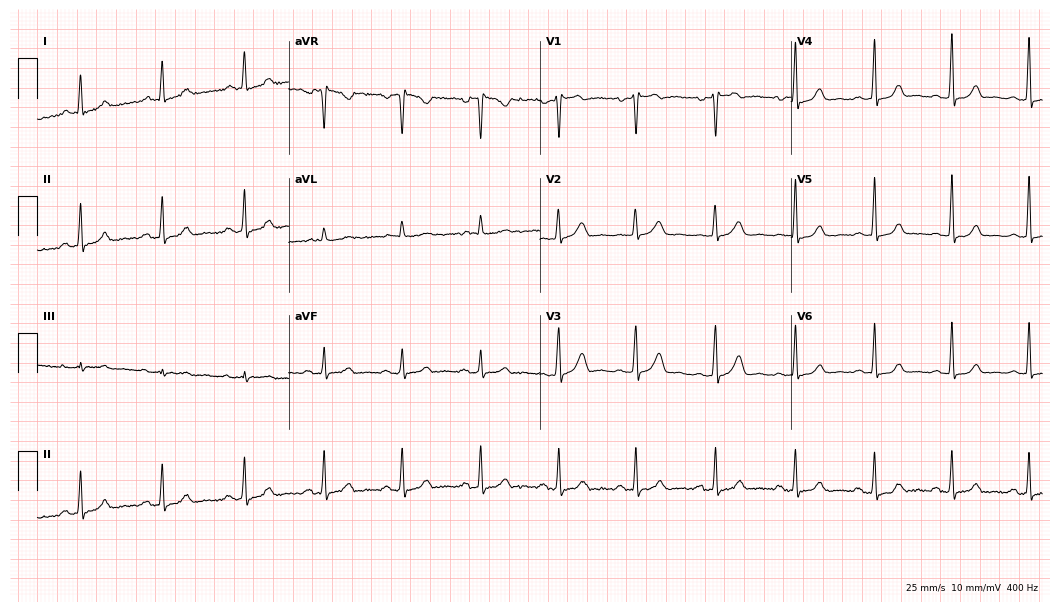
Electrocardiogram, a 45-year-old woman. Overall reading on record: normal ECG.